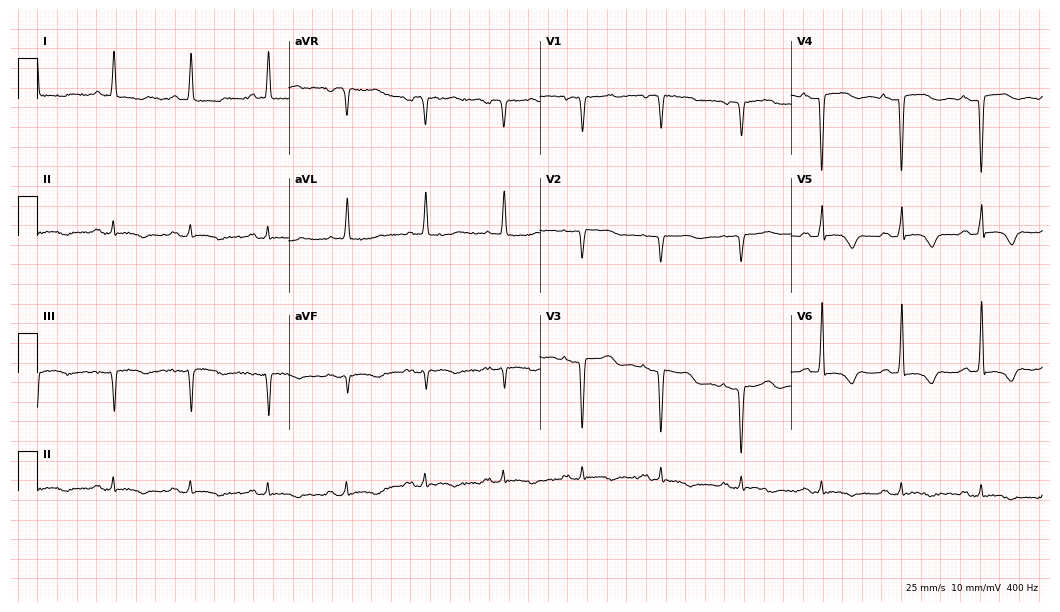
Standard 12-lead ECG recorded from a female patient, 85 years old. None of these six findings is recorded: first-degree AV block, right bundle branch block, left bundle branch block, sinus bradycardia, atrial fibrillation, sinus tachycardia.